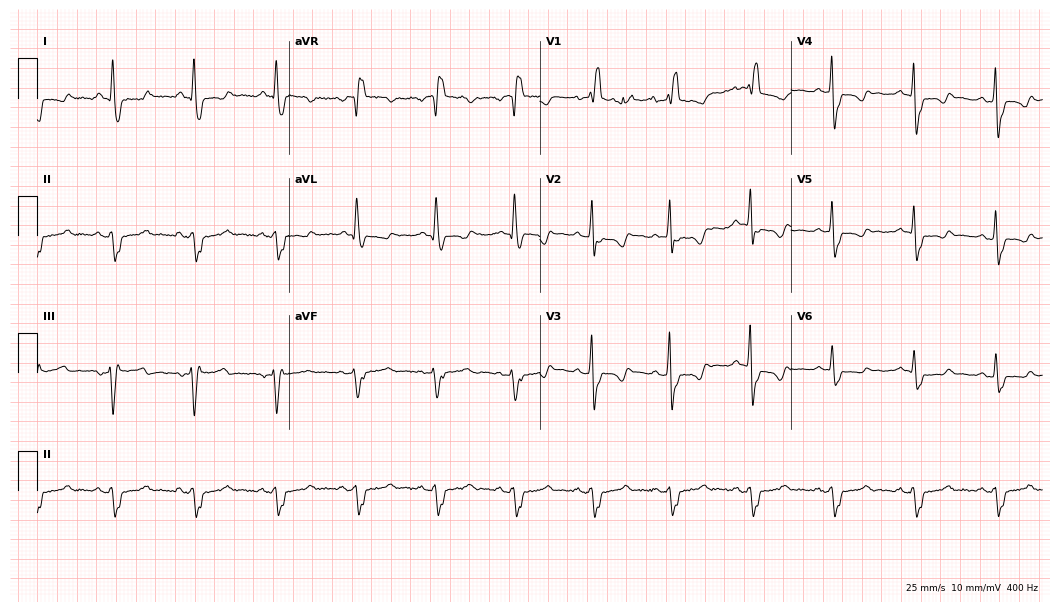
Standard 12-lead ECG recorded from a female patient, 66 years old. The tracing shows right bundle branch block (RBBB).